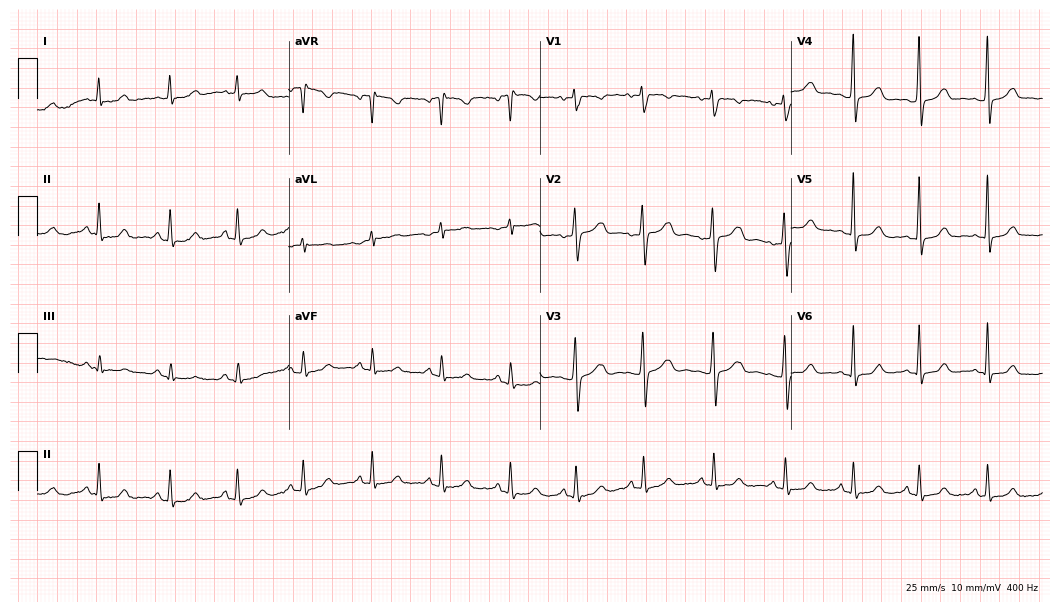
ECG (10.2-second recording at 400 Hz) — a 29-year-old female. Labelled as a normal ECG.